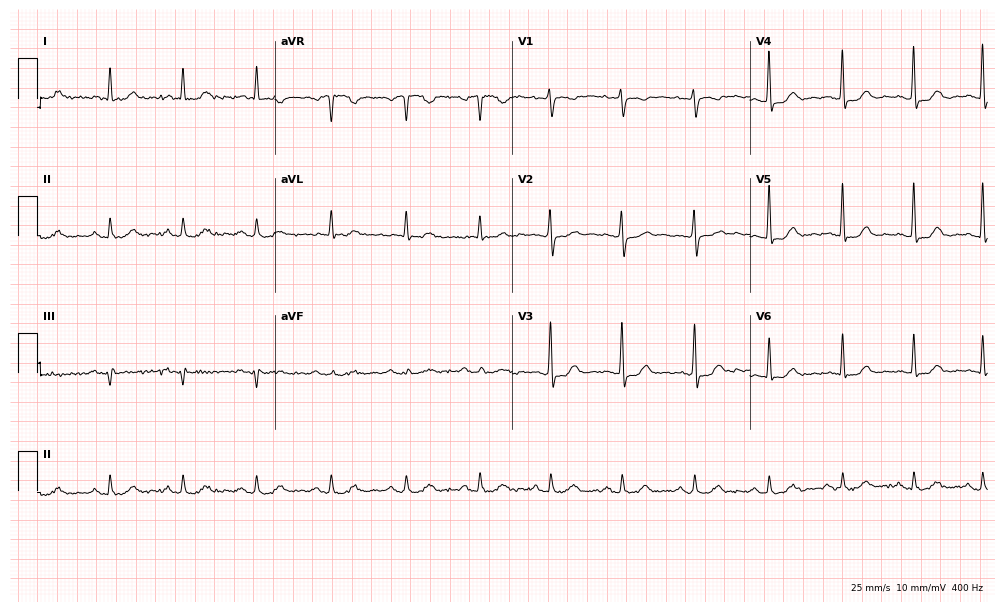
Electrocardiogram, a female, 71 years old. Overall reading on record: normal ECG.